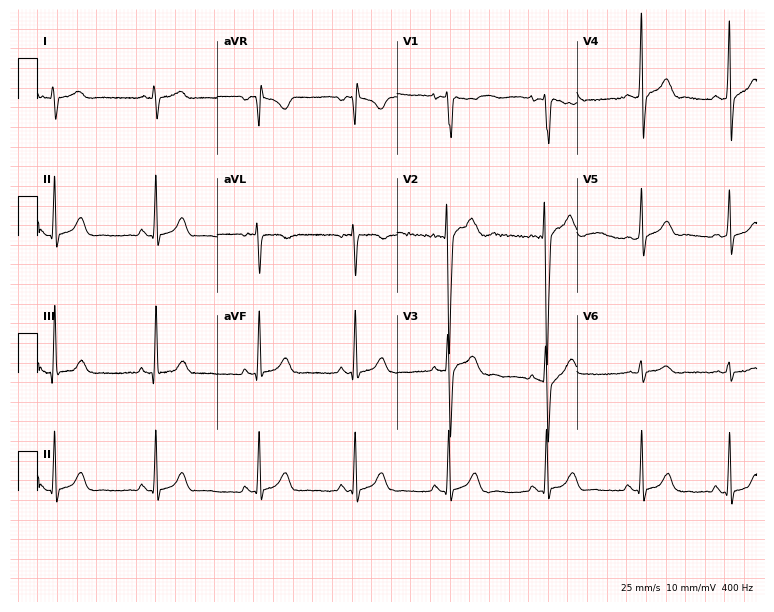
Electrocardiogram, an 18-year-old male patient. Of the six screened findings (first-degree AV block, right bundle branch block (RBBB), left bundle branch block (LBBB), sinus bradycardia, atrial fibrillation (AF), sinus tachycardia), none is recorded. Only these six findings were labelled.